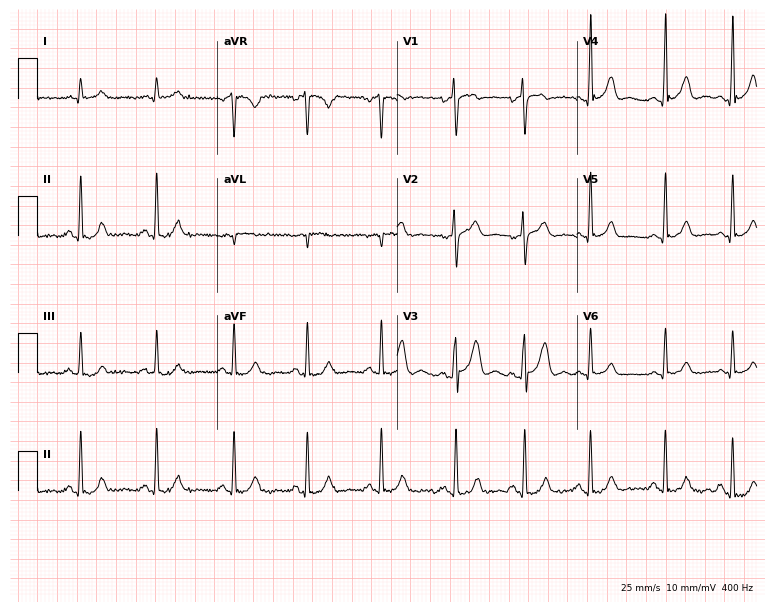
Standard 12-lead ECG recorded from a 32-year-old man. Read as a normal ECG.